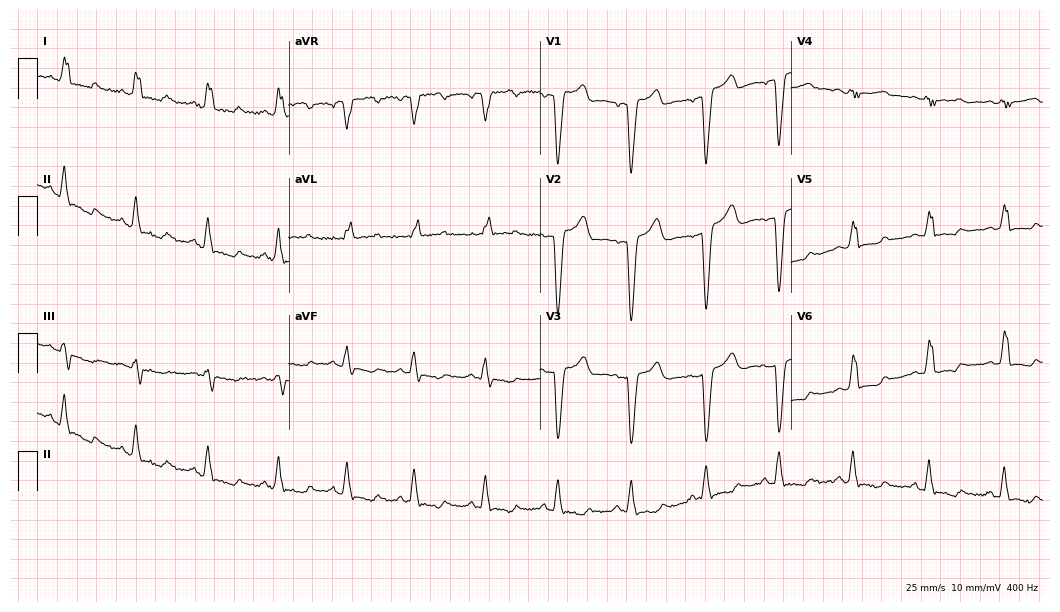
Resting 12-lead electrocardiogram (10.2-second recording at 400 Hz). Patient: a female, 49 years old. The tracing shows left bundle branch block.